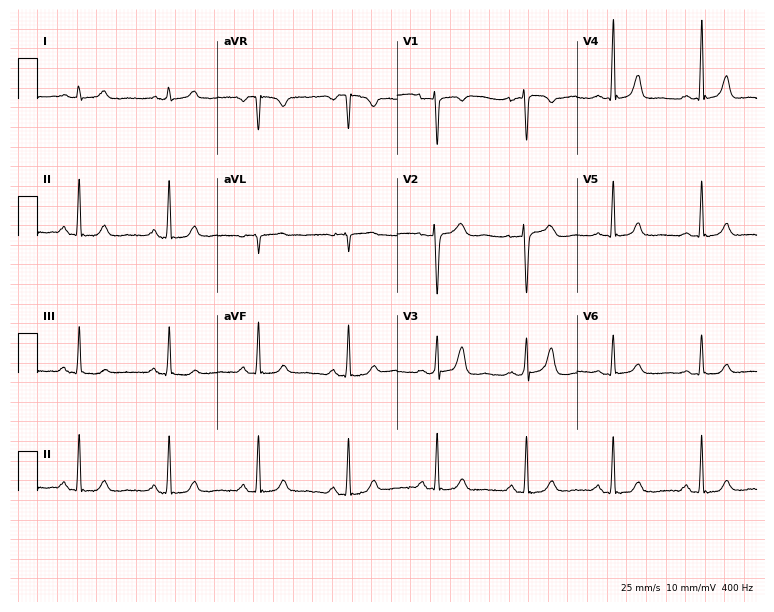
Resting 12-lead electrocardiogram (7.3-second recording at 400 Hz). Patient: a 29-year-old female. None of these six findings is recorded: first-degree AV block, right bundle branch block, left bundle branch block, sinus bradycardia, atrial fibrillation, sinus tachycardia. Only these six findings were labelled.